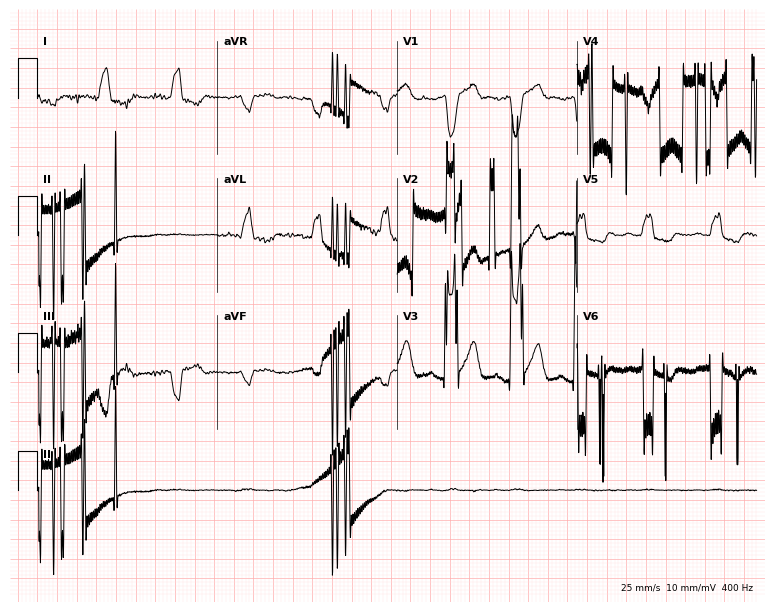
Resting 12-lead electrocardiogram. Patient: a male, 62 years old. None of these six findings is recorded: first-degree AV block, right bundle branch block, left bundle branch block, sinus bradycardia, atrial fibrillation, sinus tachycardia.